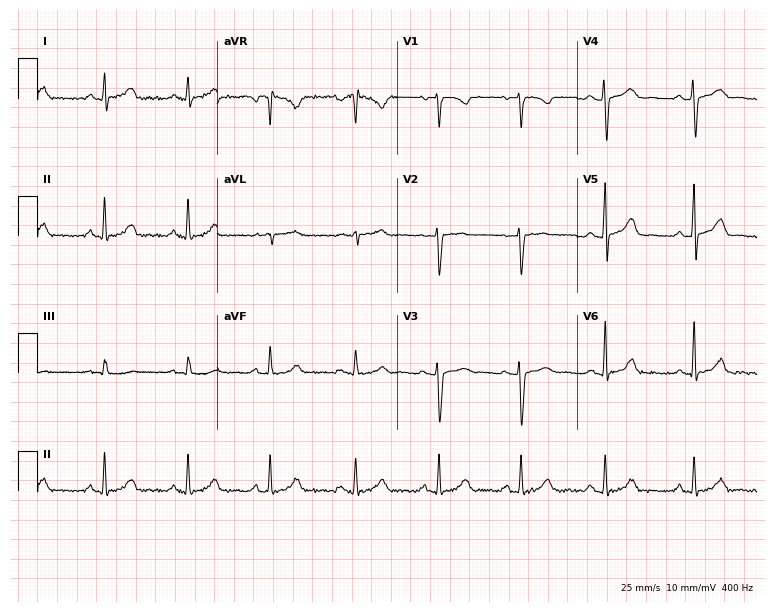
Resting 12-lead electrocardiogram (7.3-second recording at 400 Hz). Patient: a 35-year-old female. None of these six findings is recorded: first-degree AV block, right bundle branch block, left bundle branch block, sinus bradycardia, atrial fibrillation, sinus tachycardia.